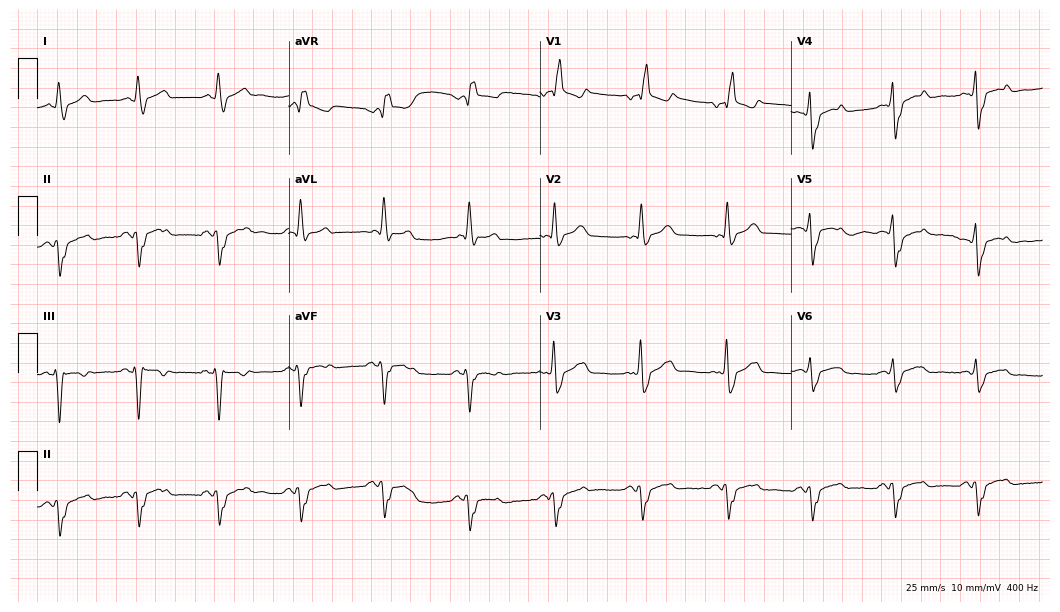
Electrocardiogram (10.2-second recording at 400 Hz), a 58-year-old man. Of the six screened findings (first-degree AV block, right bundle branch block, left bundle branch block, sinus bradycardia, atrial fibrillation, sinus tachycardia), none is recorded. Only these six findings were labelled.